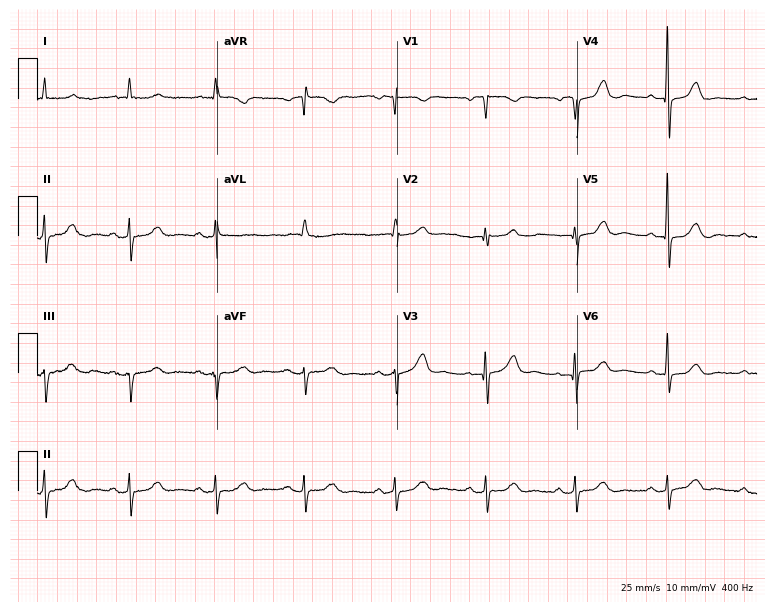
Resting 12-lead electrocardiogram (7.3-second recording at 400 Hz). Patient: a female, 85 years old. None of these six findings is recorded: first-degree AV block, right bundle branch block, left bundle branch block, sinus bradycardia, atrial fibrillation, sinus tachycardia. Only these six findings were labelled.